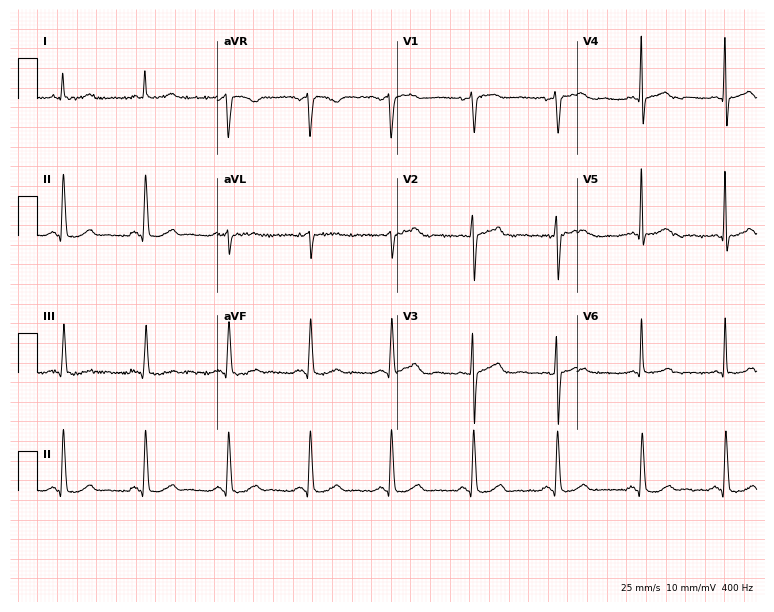
Electrocardiogram (7.3-second recording at 400 Hz), a 71-year-old female patient. Overall reading on record: normal ECG.